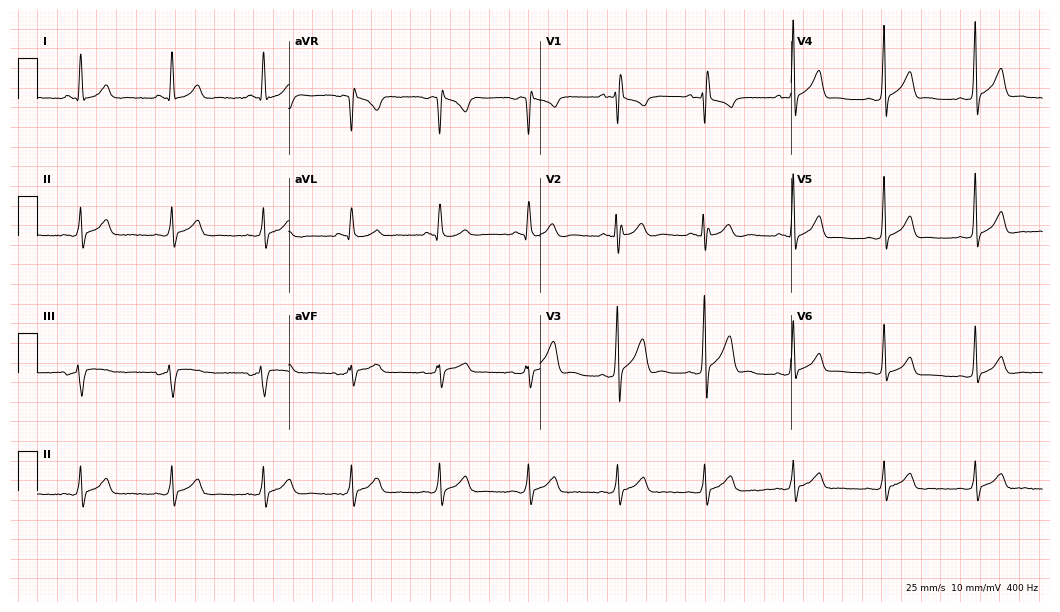
ECG (10.2-second recording at 400 Hz) — a 37-year-old female. Labelled as a normal ECG.